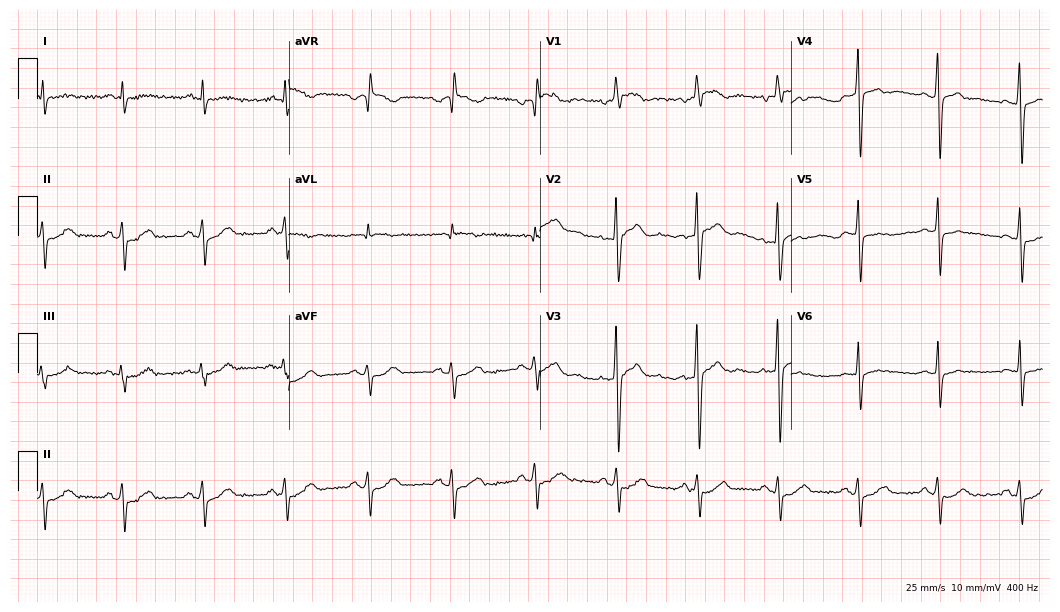
12-lead ECG from a 54-year-old man (10.2-second recording at 400 Hz). No first-degree AV block, right bundle branch block (RBBB), left bundle branch block (LBBB), sinus bradycardia, atrial fibrillation (AF) or sinus tachycardia recorded for this tracing.